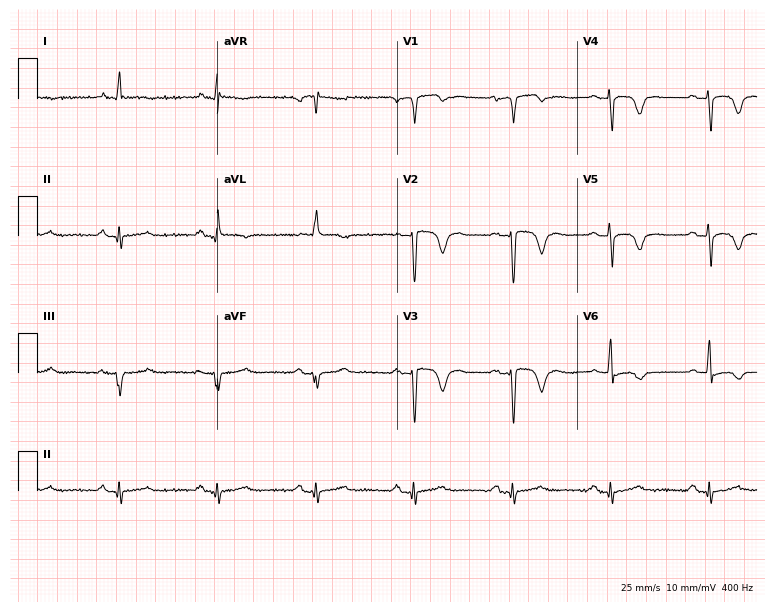
Standard 12-lead ECG recorded from a male, 75 years old. None of these six findings is recorded: first-degree AV block, right bundle branch block (RBBB), left bundle branch block (LBBB), sinus bradycardia, atrial fibrillation (AF), sinus tachycardia. Only these six findings were labelled.